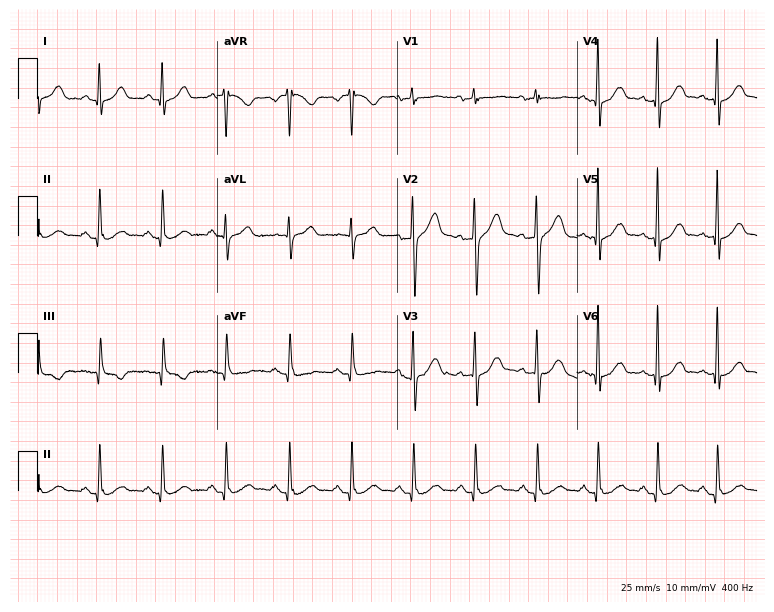
Standard 12-lead ECG recorded from a 41-year-old male patient (7.3-second recording at 400 Hz). None of these six findings is recorded: first-degree AV block, right bundle branch block (RBBB), left bundle branch block (LBBB), sinus bradycardia, atrial fibrillation (AF), sinus tachycardia. Only these six findings were labelled.